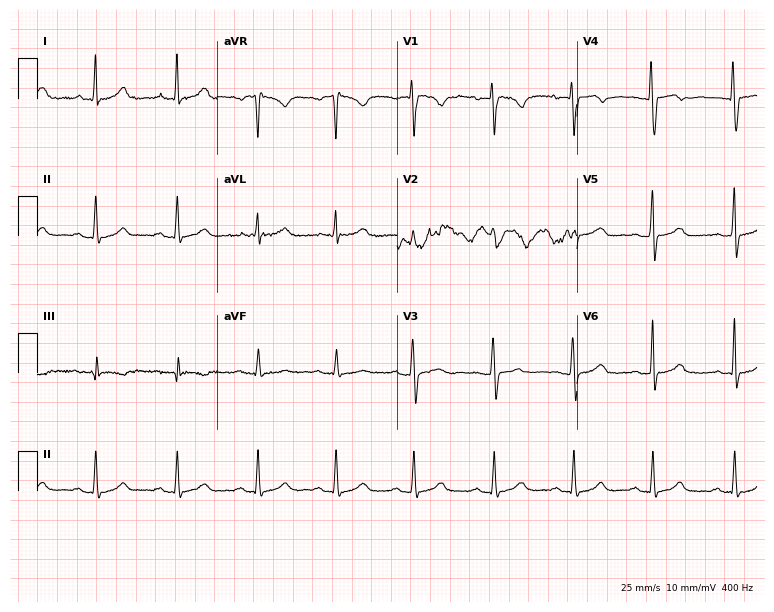
ECG — a woman, 28 years old. Labelled as a normal ECG.